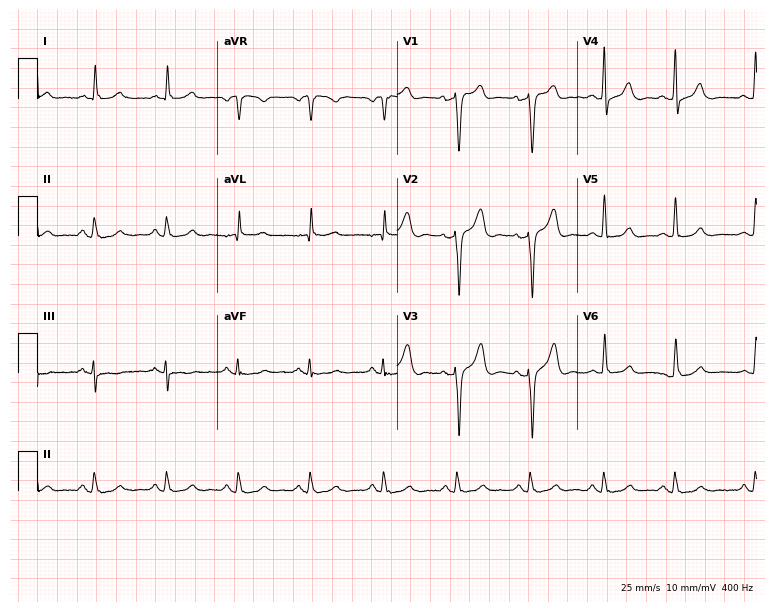
Electrocardiogram, a male, 72 years old. Of the six screened findings (first-degree AV block, right bundle branch block, left bundle branch block, sinus bradycardia, atrial fibrillation, sinus tachycardia), none is recorded.